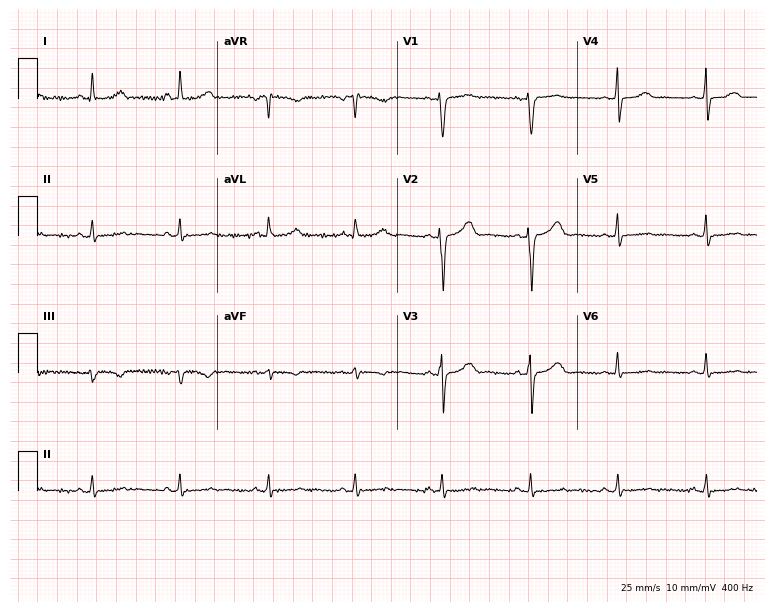
Standard 12-lead ECG recorded from a female, 46 years old. None of these six findings is recorded: first-degree AV block, right bundle branch block, left bundle branch block, sinus bradycardia, atrial fibrillation, sinus tachycardia.